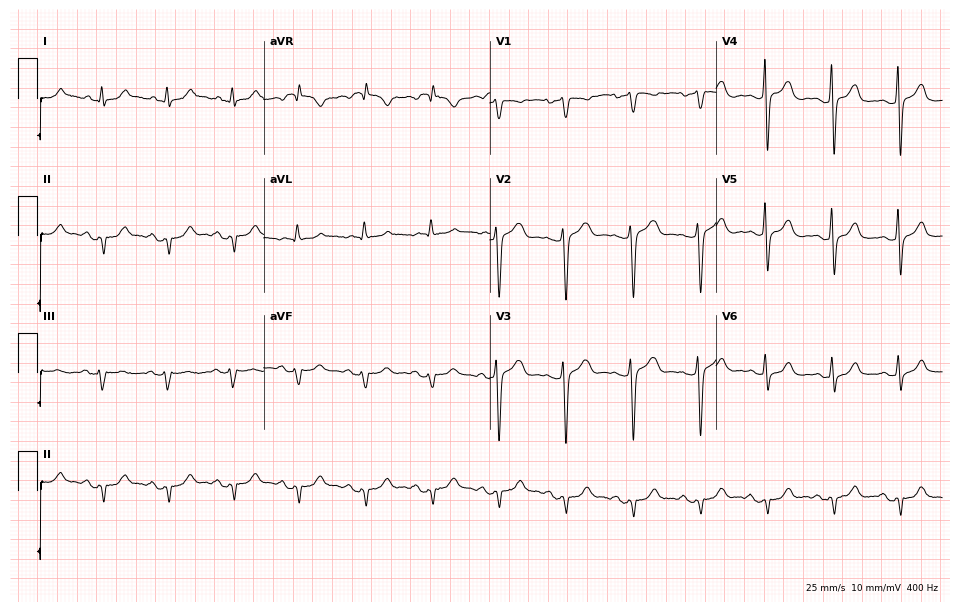
12-lead ECG from a female, 53 years old. Screened for six findings — first-degree AV block, right bundle branch block, left bundle branch block, sinus bradycardia, atrial fibrillation, sinus tachycardia — none is recorded.